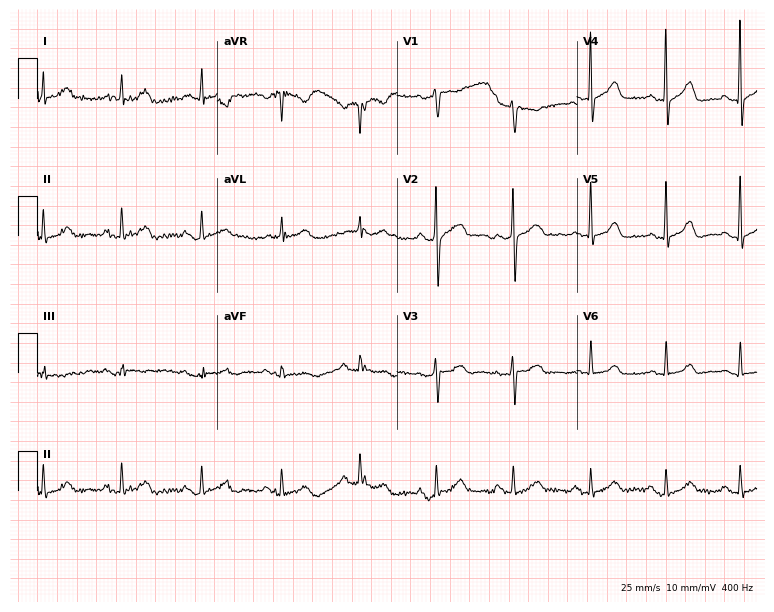
Standard 12-lead ECG recorded from a 48-year-old male patient. Read as a normal ECG.